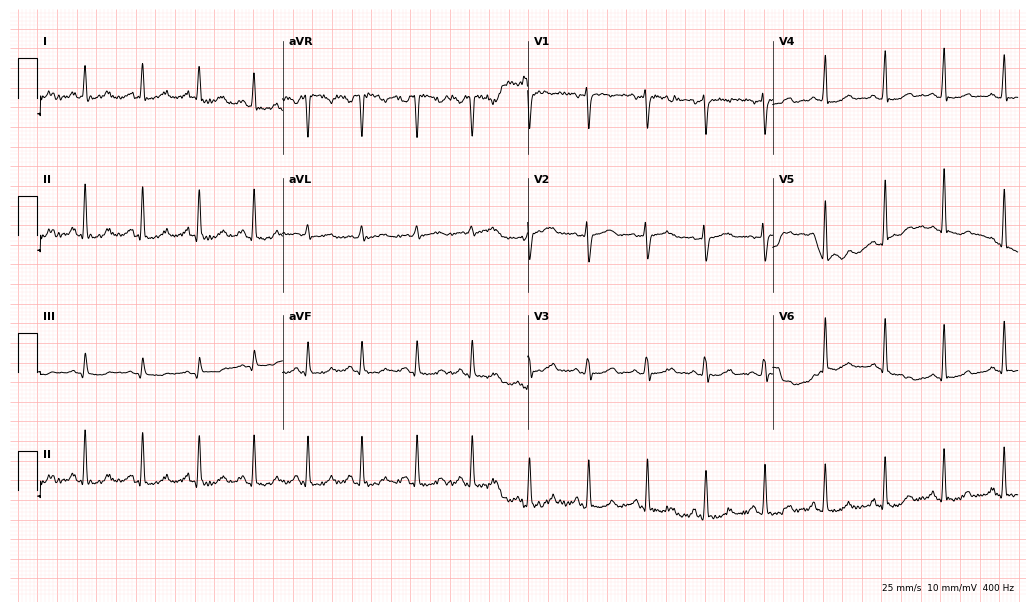
Standard 12-lead ECG recorded from a 41-year-old female. Read as a normal ECG.